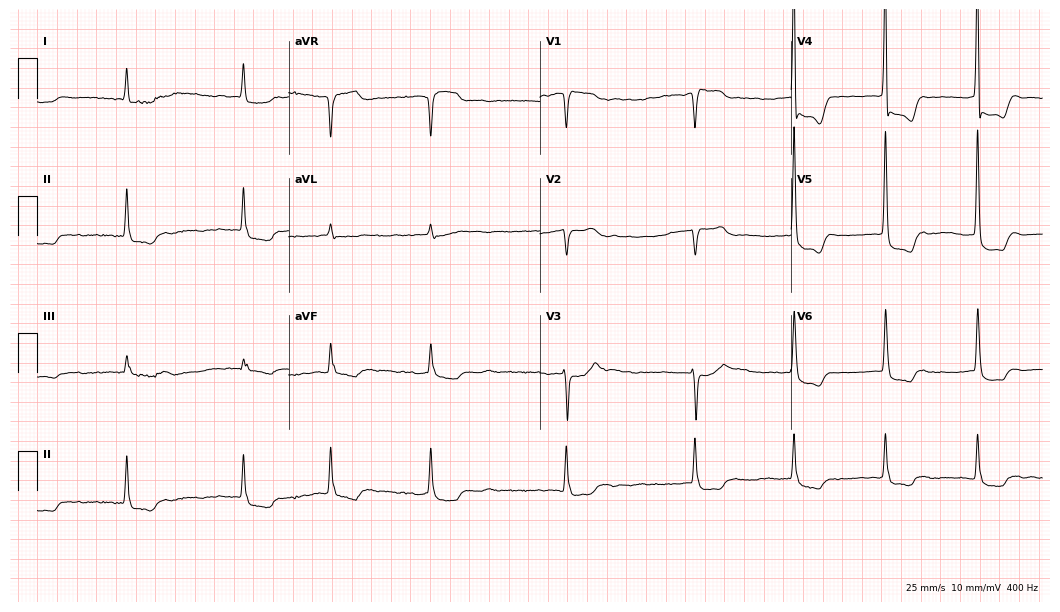
12-lead ECG from an 81-year-old female patient. Findings include atrial fibrillation (AF).